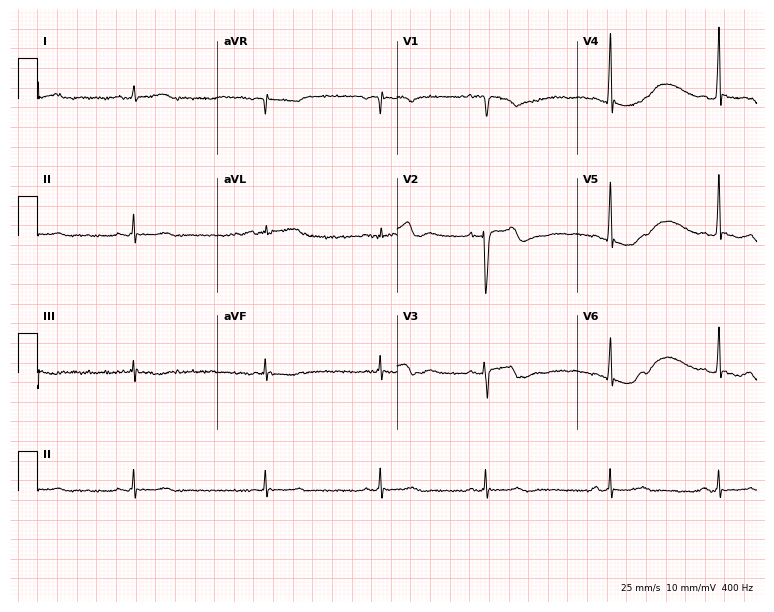
Standard 12-lead ECG recorded from a 17-year-old male (7.3-second recording at 400 Hz). The tracing shows sinus bradycardia (a sinus rate of 50 beats per minute or less).